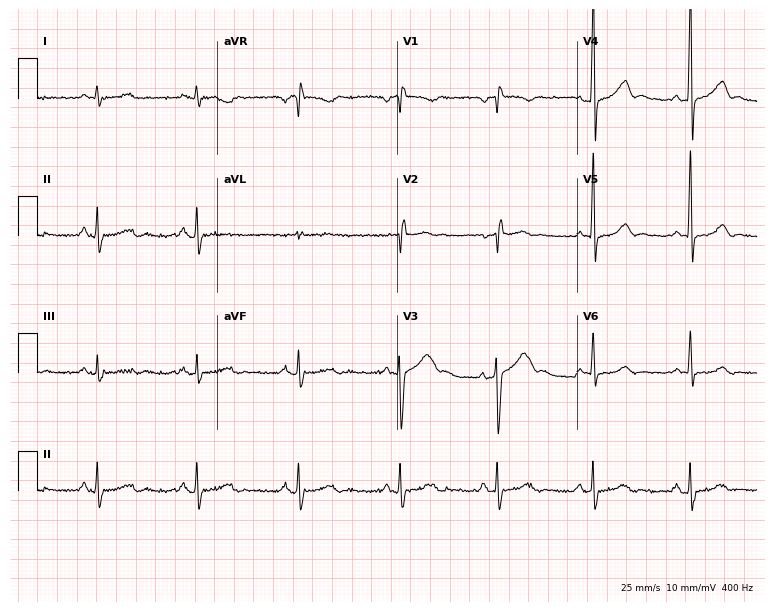
ECG (7.3-second recording at 400 Hz) — a 53-year-old man. Screened for six findings — first-degree AV block, right bundle branch block (RBBB), left bundle branch block (LBBB), sinus bradycardia, atrial fibrillation (AF), sinus tachycardia — none is recorded. Findings outside these six are not listed.